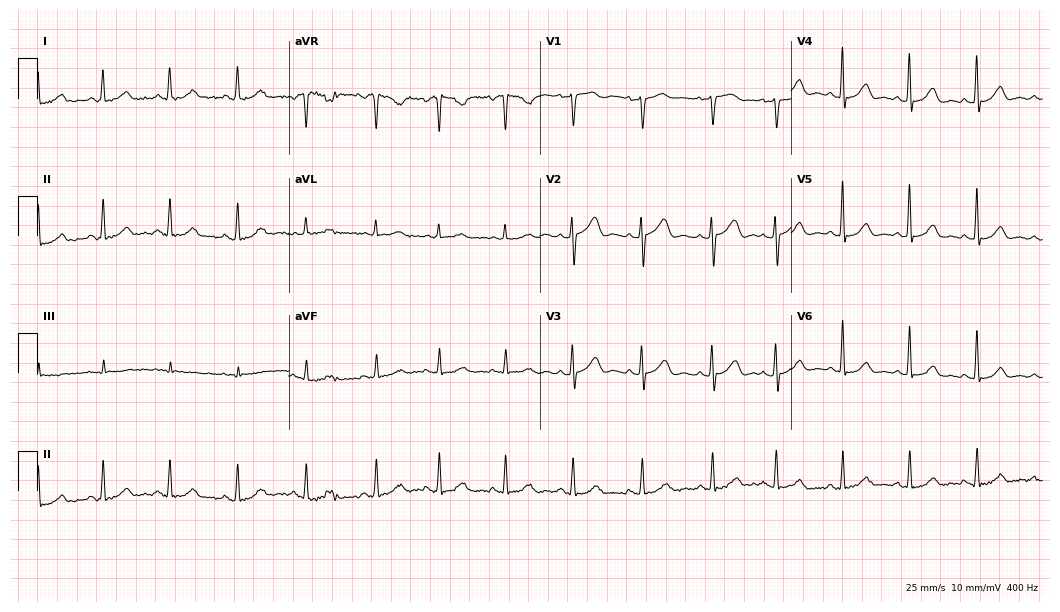
ECG (10.2-second recording at 400 Hz) — a 62-year-old female patient. Labelled as a normal ECG.